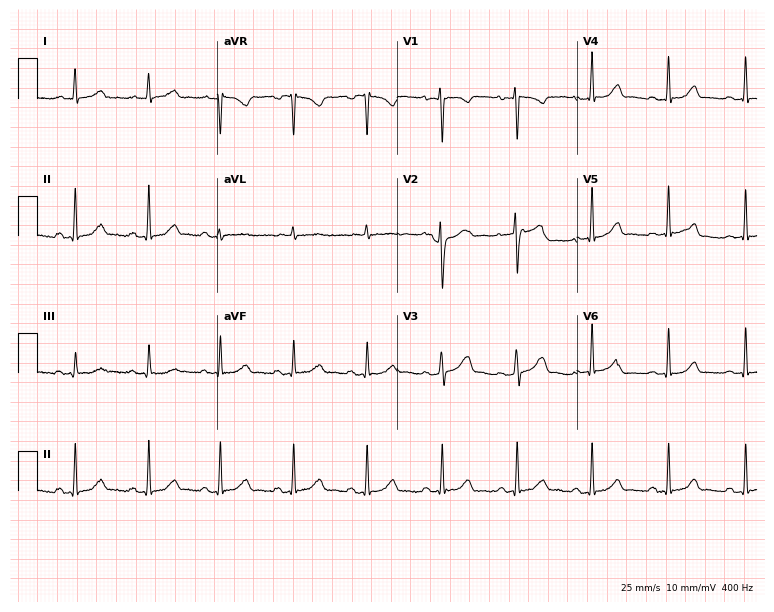
Standard 12-lead ECG recorded from a 34-year-old female. Read as a normal ECG.